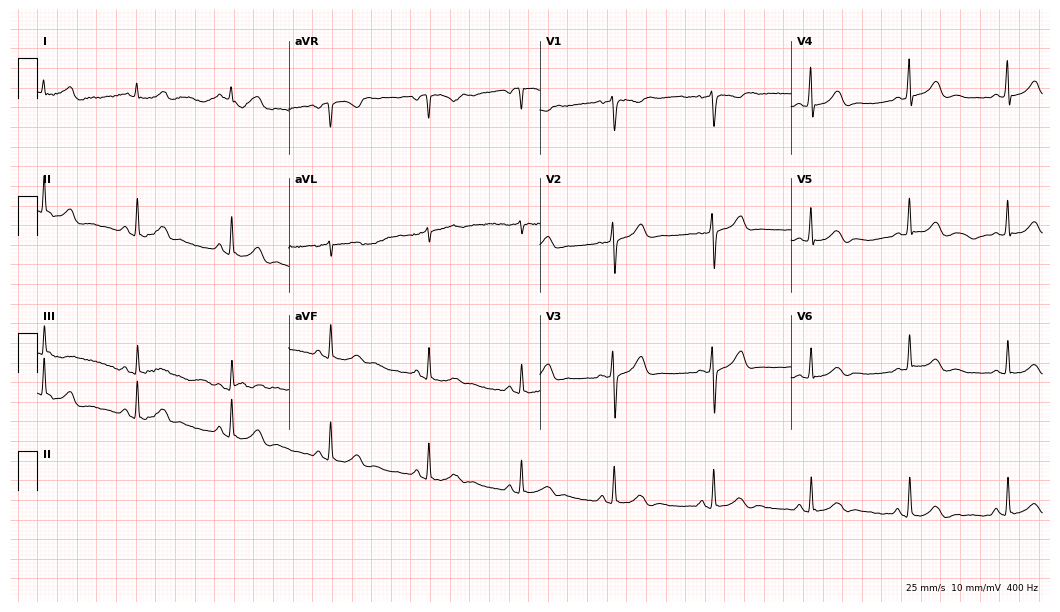
12-lead ECG from a 28-year-old female. Labelled as a normal ECG.